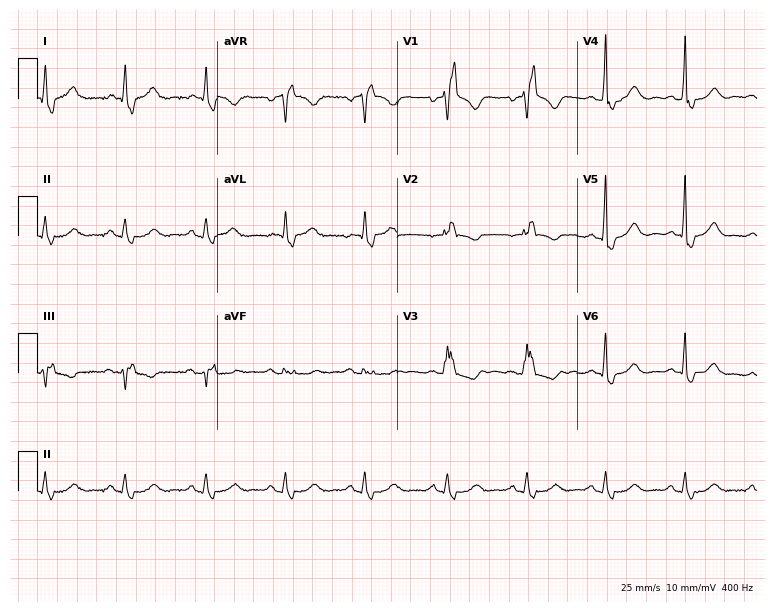
12-lead ECG from an 80-year-old male (7.3-second recording at 400 Hz). Shows right bundle branch block (RBBB).